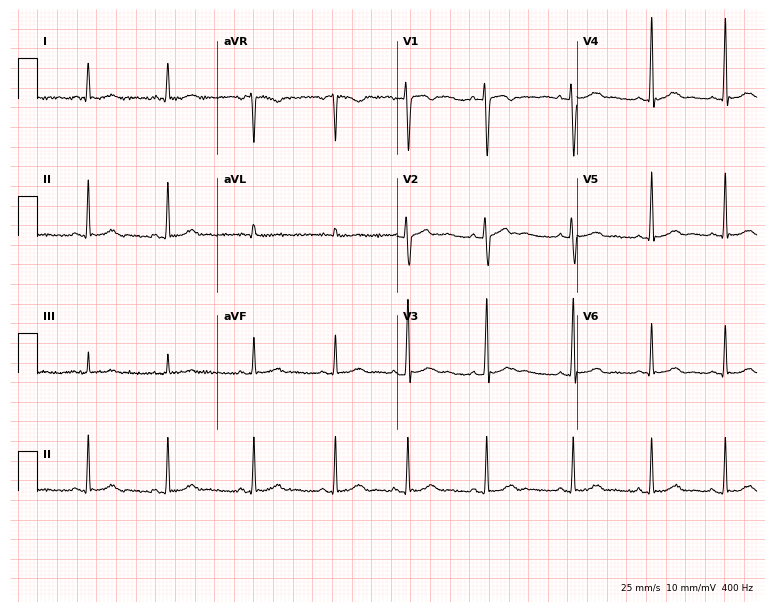
Electrocardiogram (7.3-second recording at 400 Hz), a female patient, 18 years old. Overall reading on record: normal ECG.